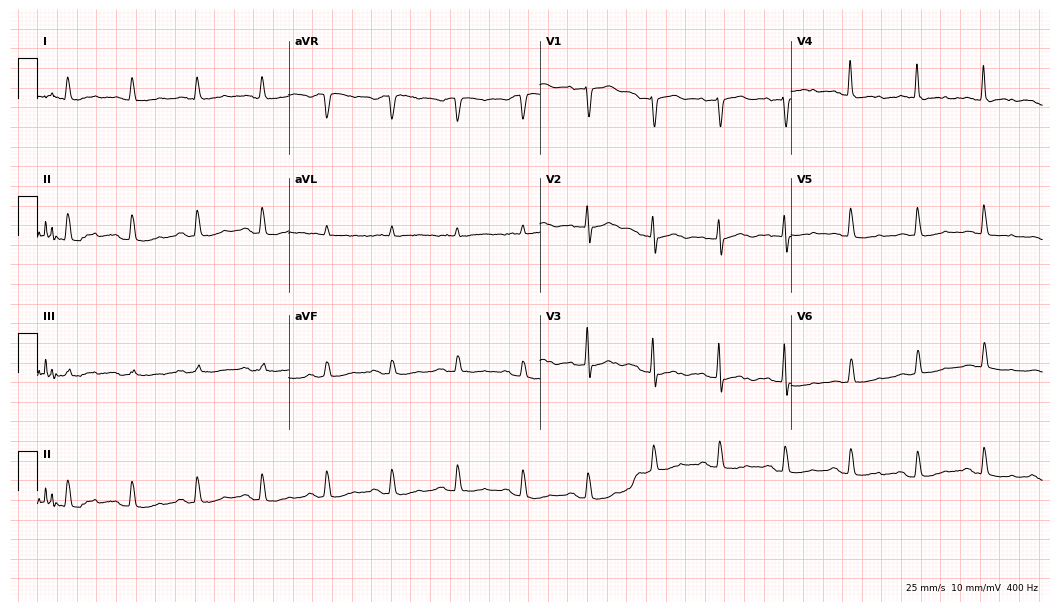
12-lead ECG (10.2-second recording at 400 Hz) from a 75-year-old woman. Screened for six findings — first-degree AV block, right bundle branch block, left bundle branch block, sinus bradycardia, atrial fibrillation, sinus tachycardia — none is recorded. Findings outside these six are not listed.